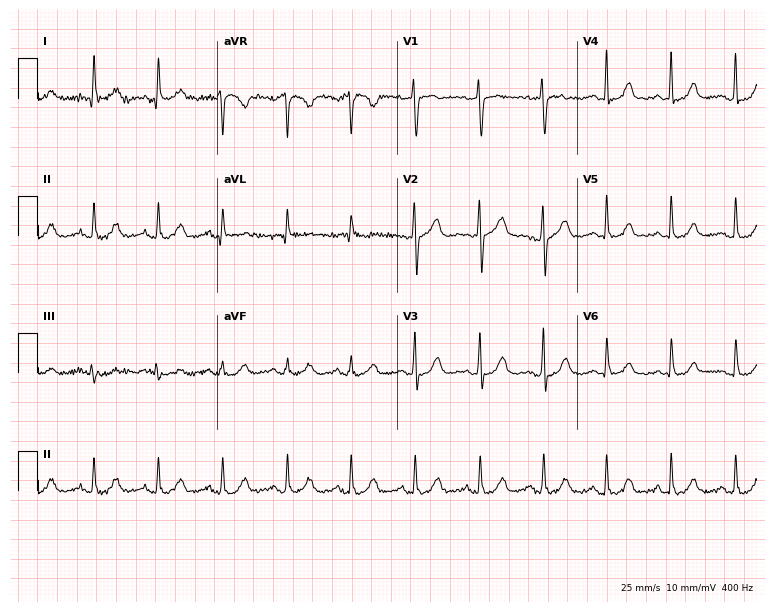
12-lead ECG (7.3-second recording at 400 Hz) from a 66-year-old female patient. Labelled as a normal ECG.